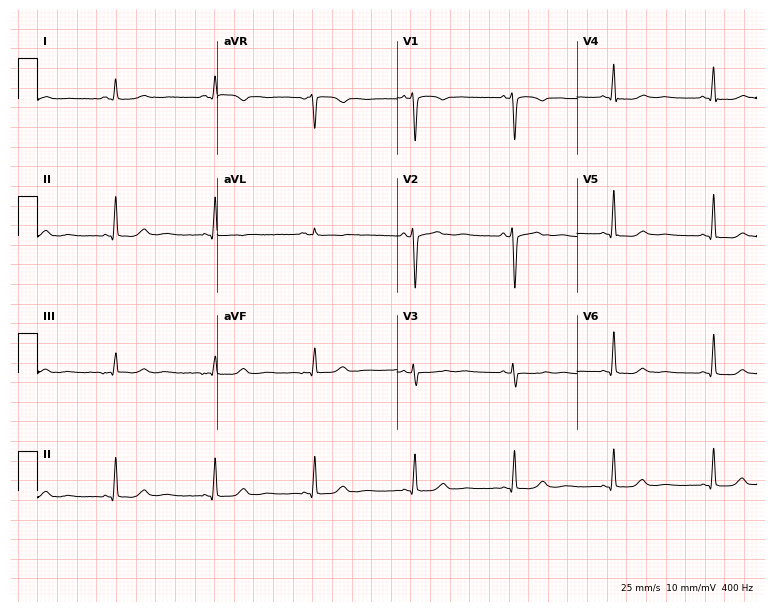
Standard 12-lead ECG recorded from a woman, 49 years old. None of these six findings is recorded: first-degree AV block, right bundle branch block, left bundle branch block, sinus bradycardia, atrial fibrillation, sinus tachycardia.